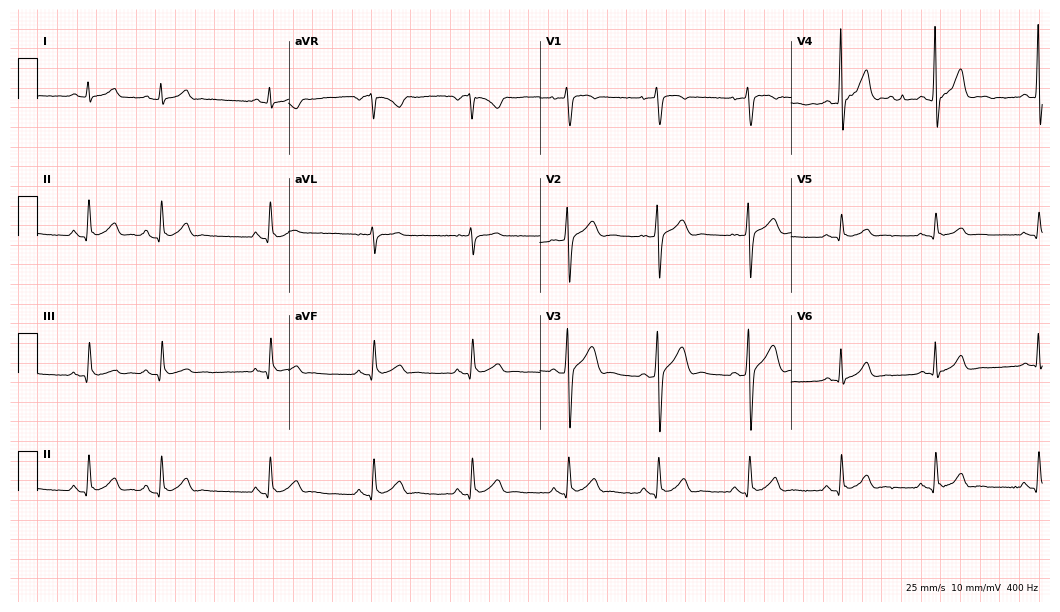
12-lead ECG from a 32-year-old man (10.2-second recording at 400 Hz). No first-degree AV block, right bundle branch block (RBBB), left bundle branch block (LBBB), sinus bradycardia, atrial fibrillation (AF) or sinus tachycardia recorded for this tracing. Findings outside these six are not listed.